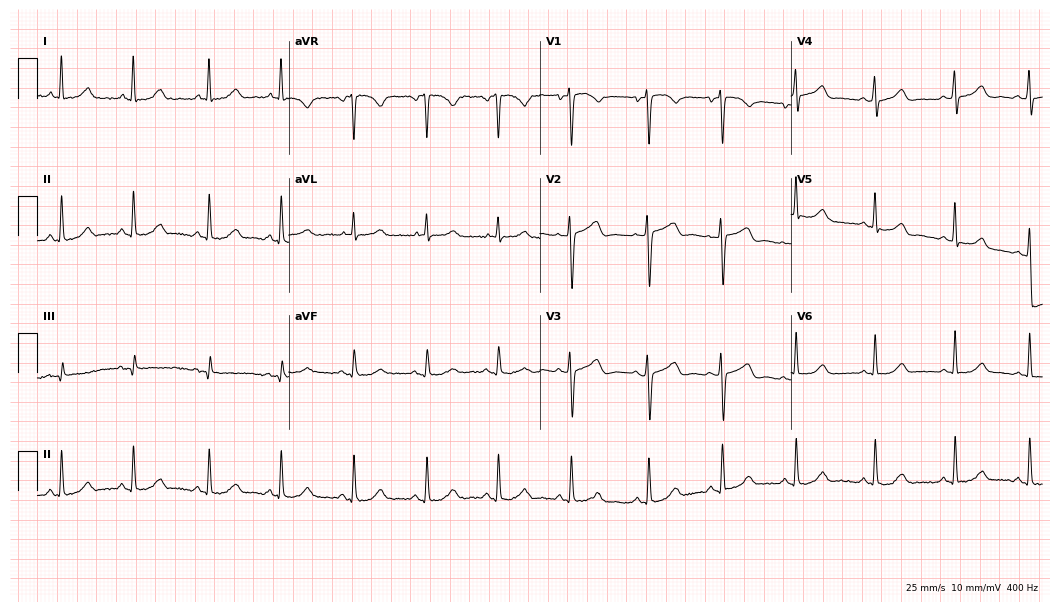
ECG — a 29-year-old female. Labelled as a normal ECG.